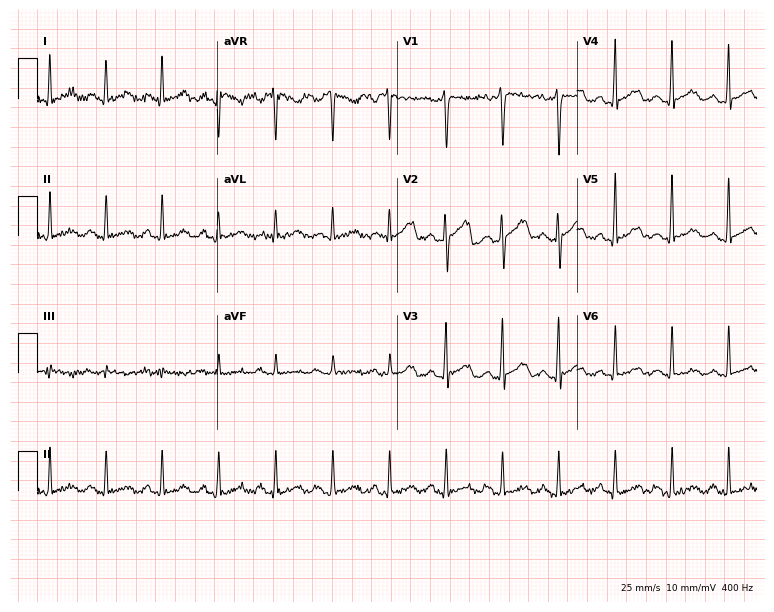
12-lead ECG from a 48-year-old man. Recorded interpretation: within normal limits.